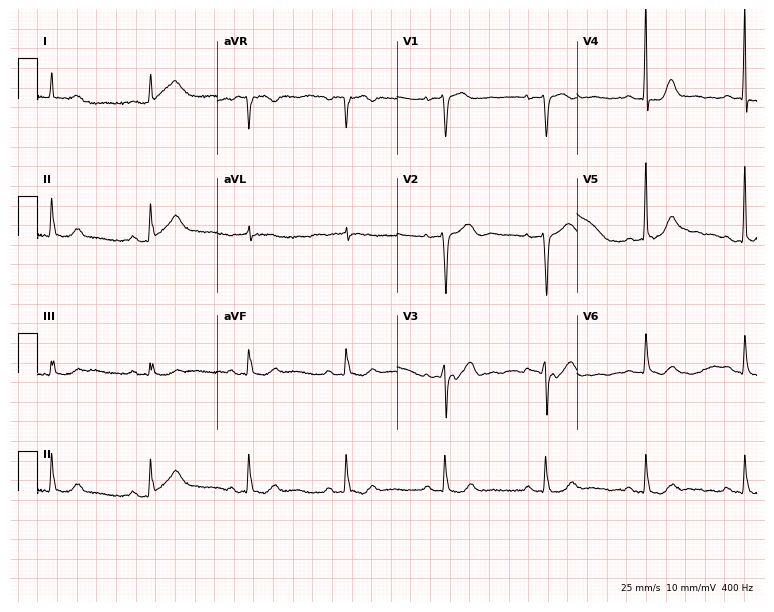
12-lead ECG from a 76-year-old woman. Labelled as a normal ECG.